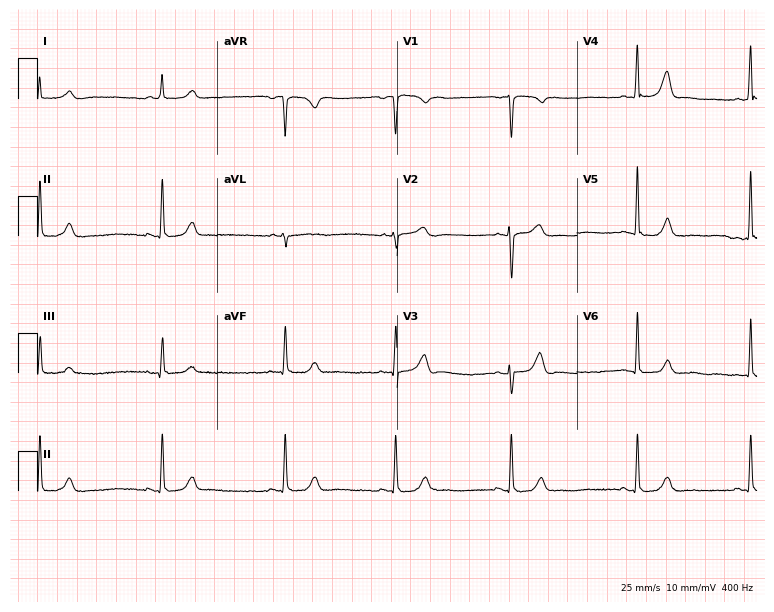
12-lead ECG from a 43-year-old female (7.3-second recording at 400 Hz). No first-degree AV block, right bundle branch block, left bundle branch block, sinus bradycardia, atrial fibrillation or sinus tachycardia recorded for this tracing. Findings outside these six are not listed.